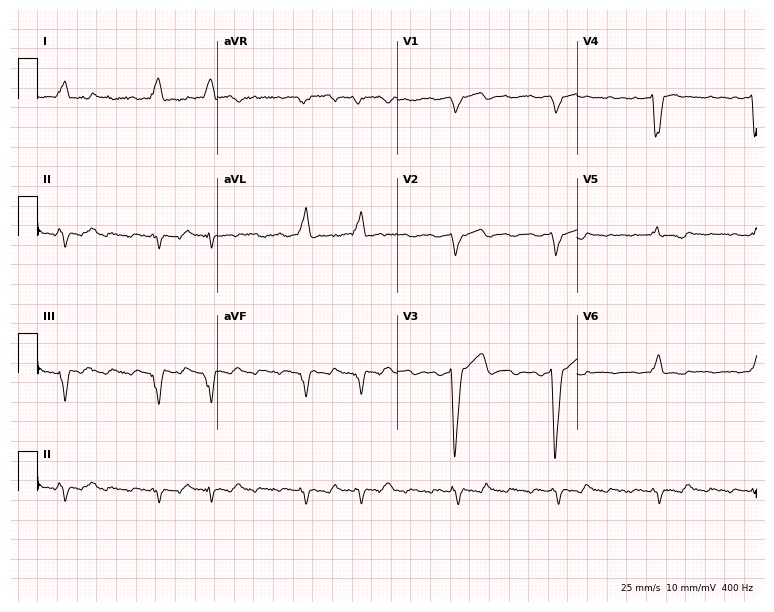
Resting 12-lead electrocardiogram. Patient: a 38-year-old woman. The tracing shows left bundle branch block, atrial fibrillation.